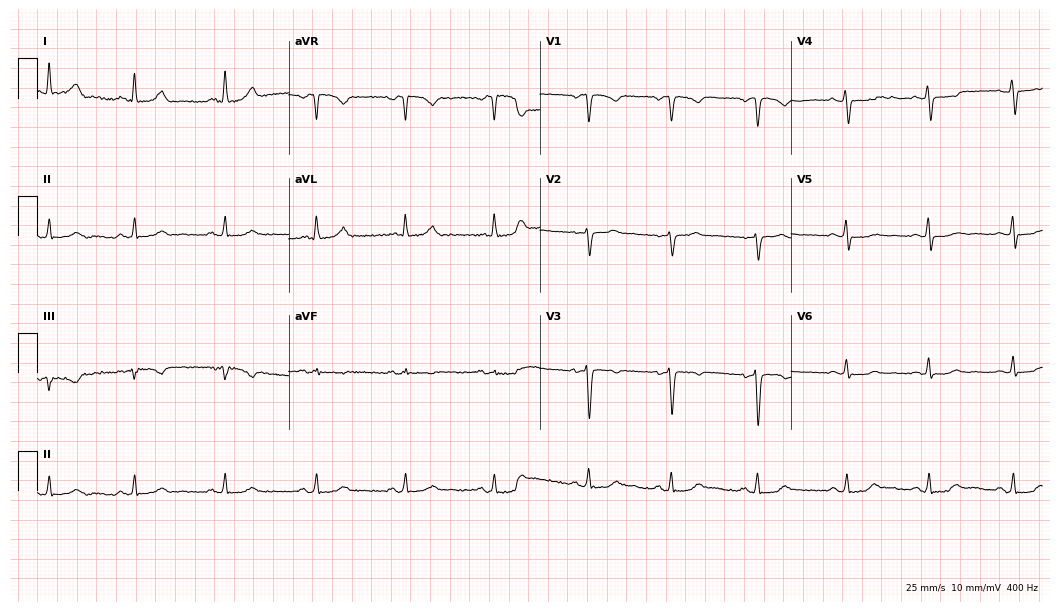
12-lead ECG from a female patient, 33 years old. Screened for six findings — first-degree AV block, right bundle branch block, left bundle branch block, sinus bradycardia, atrial fibrillation, sinus tachycardia — none is recorded. Other findings, if any, are not listed.